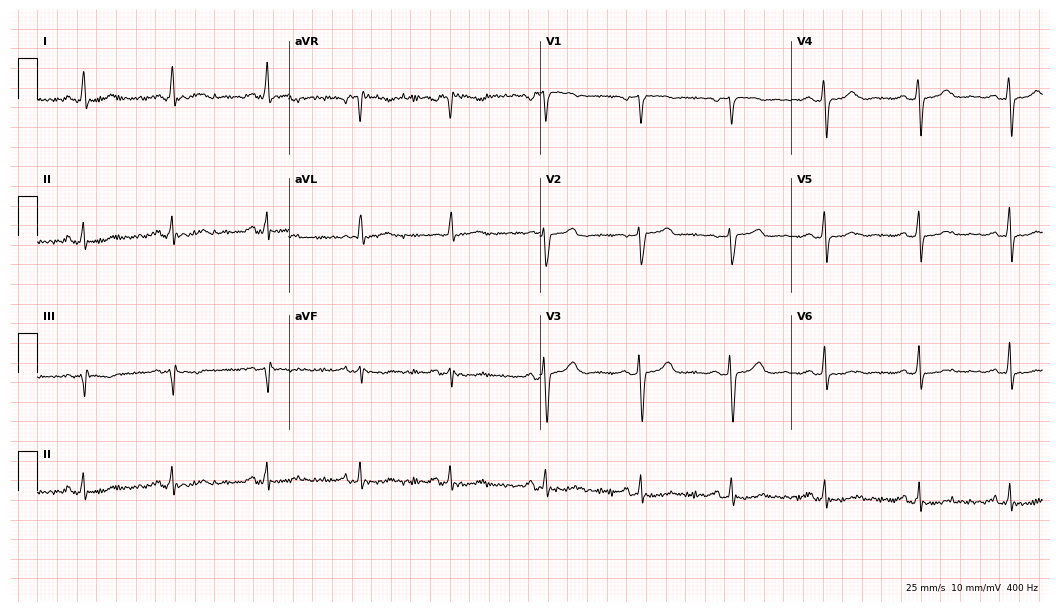
12-lead ECG (10.2-second recording at 400 Hz) from a 53-year-old female. Labelled as a normal ECG.